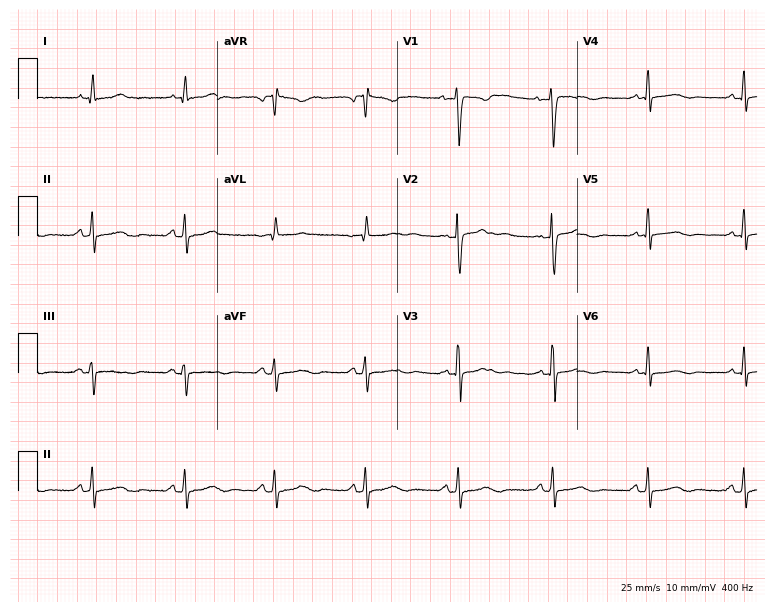
Standard 12-lead ECG recorded from a woman, 37 years old (7.3-second recording at 400 Hz). None of these six findings is recorded: first-degree AV block, right bundle branch block, left bundle branch block, sinus bradycardia, atrial fibrillation, sinus tachycardia.